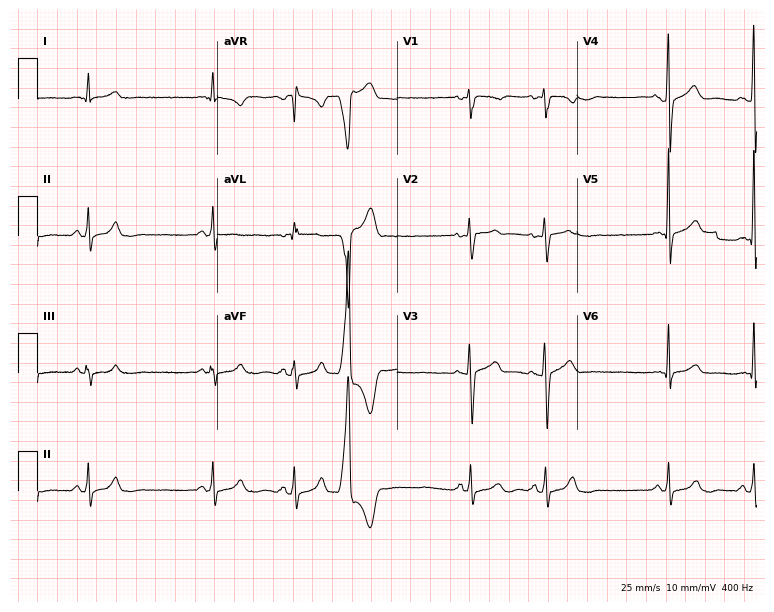
ECG (7.3-second recording at 400 Hz) — a 36-year-old female. Screened for six findings — first-degree AV block, right bundle branch block (RBBB), left bundle branch block (LBBB), sinus bradycardia, atrial fibrillation (AF), sinus tachycardia — none is recorded.